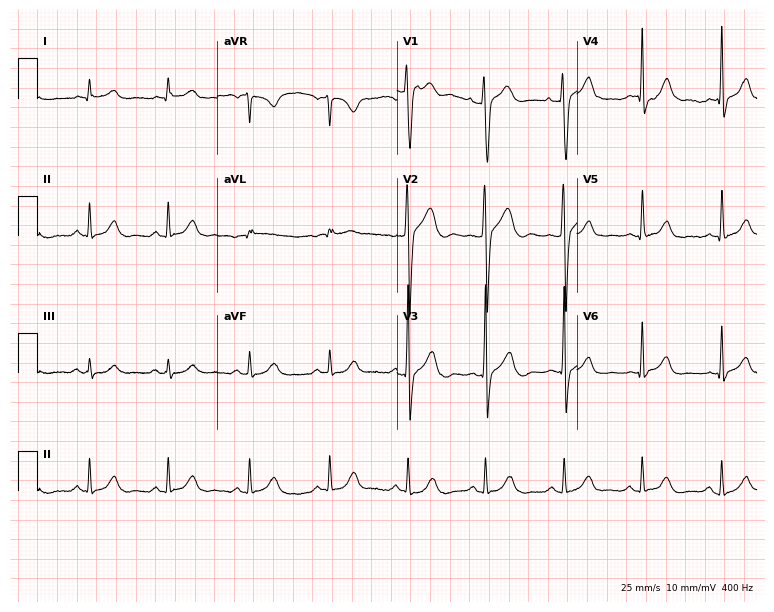
12-lead ECG (7.3-second recording at 400 Hz) from a man, 47 years old. Labelled as a normal ECG.